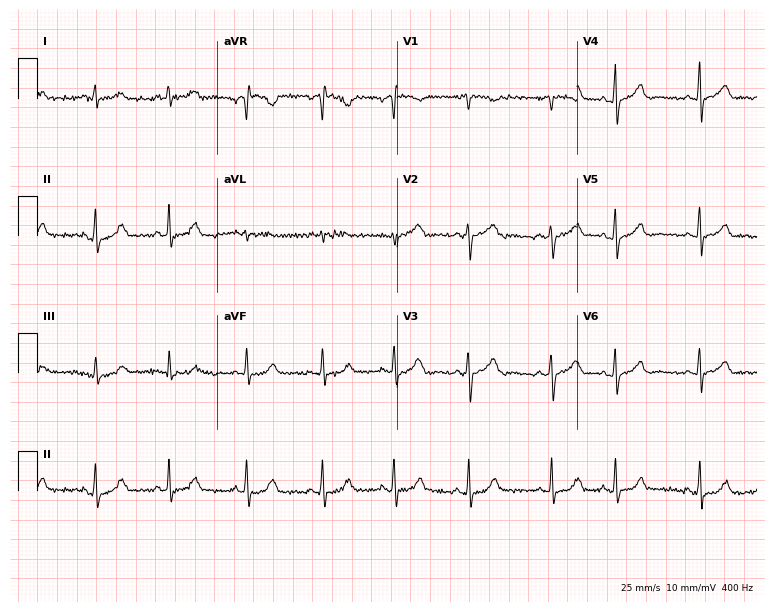
Electrocardiogram (7.3-second recording at 400 Hz), a female, 25 years old. Overall reading on record: normal ECG.